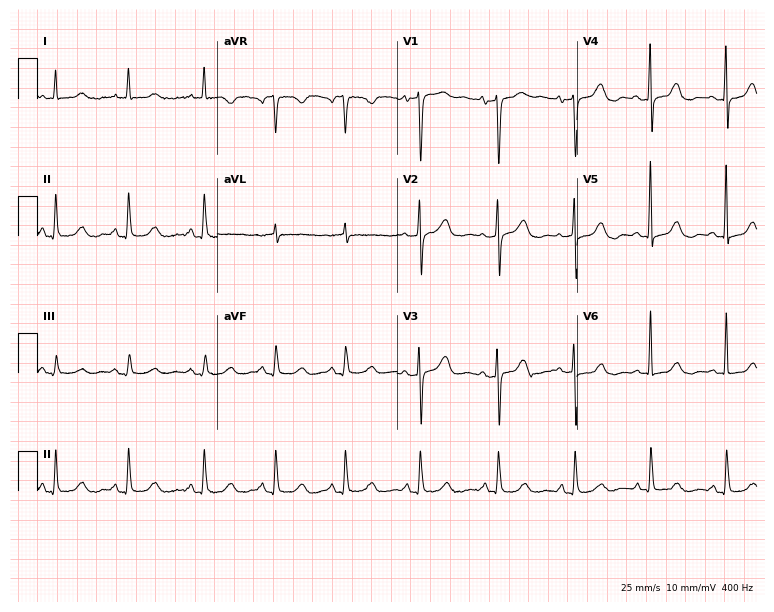
Resting 12-lead electrocardiogram (7.3-second recording at 400 Hz). Patient: a 73-year-old woman. Read as a normal ECG.